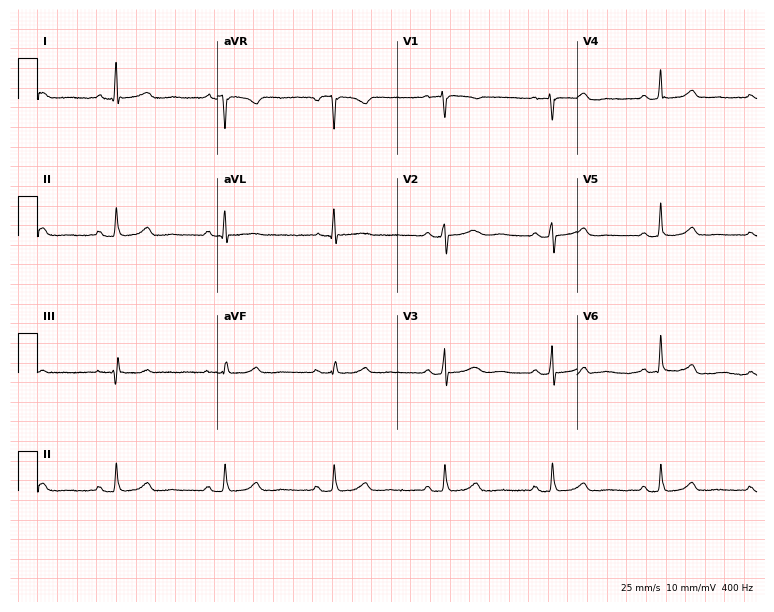
ECG (7.3-second recording at 400 Hz) — a 61-year-old woman. Labelled as a normal ECG.